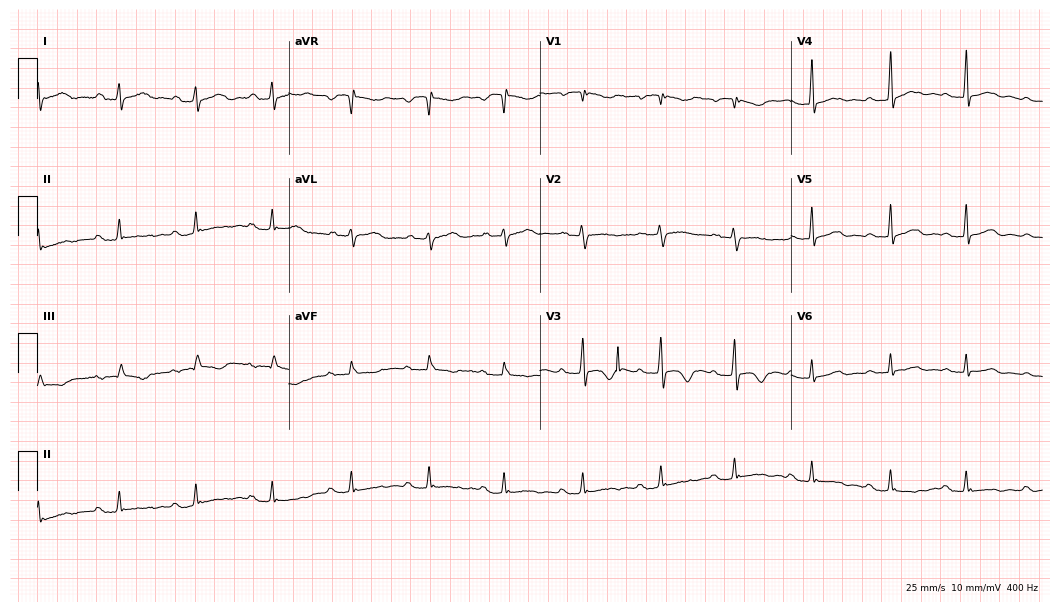
Electrocardiogram (10.2-second recording at 400 Hz), a 27-year-old female. Of the six screened findings (first-degree AV block, right bundle branch block, left bundle branch block, sinus bradycardia, atrial fibrillation, sinus tachycardia), none is recorded. Findings outside these six are not listed.